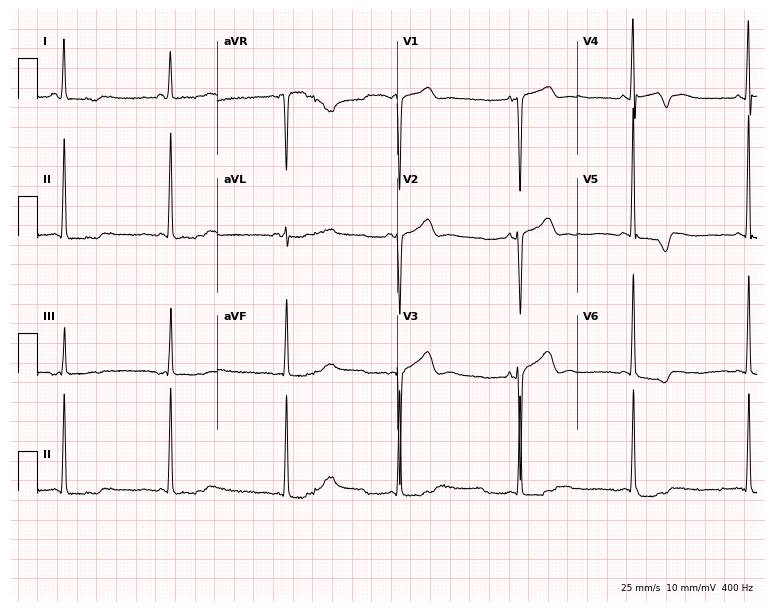
12-lead ECG from a 49-year-old female (7.3-second recording at 400 Hz). No first-degree AV block, right bundle branch block, left bundle branch block, sinus bradycardia, atrial fibrillation or sinus tachycardia recorded for this tracing. Other findings, if any, are not listed.